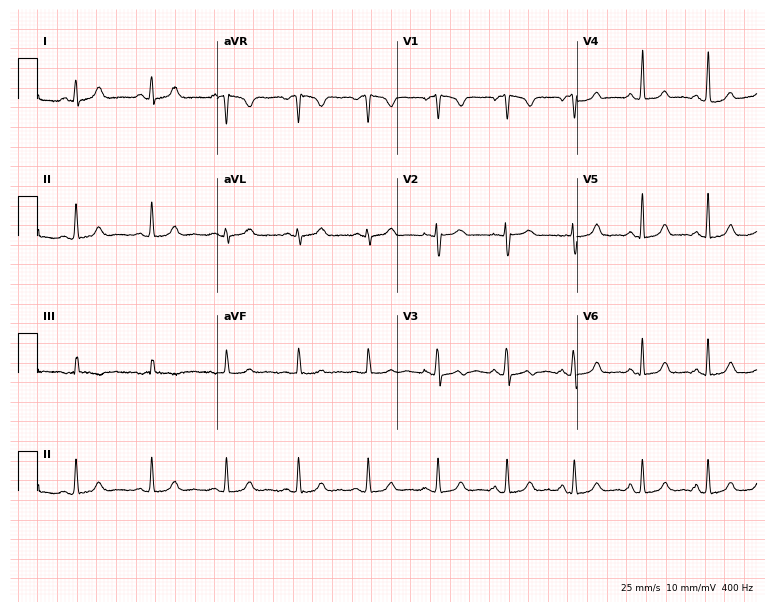
Resting 12-lead electrocardiogram (7.3-second recording at 400 Hz). Patient: a 19-year-old female. Read as a normal ECG.